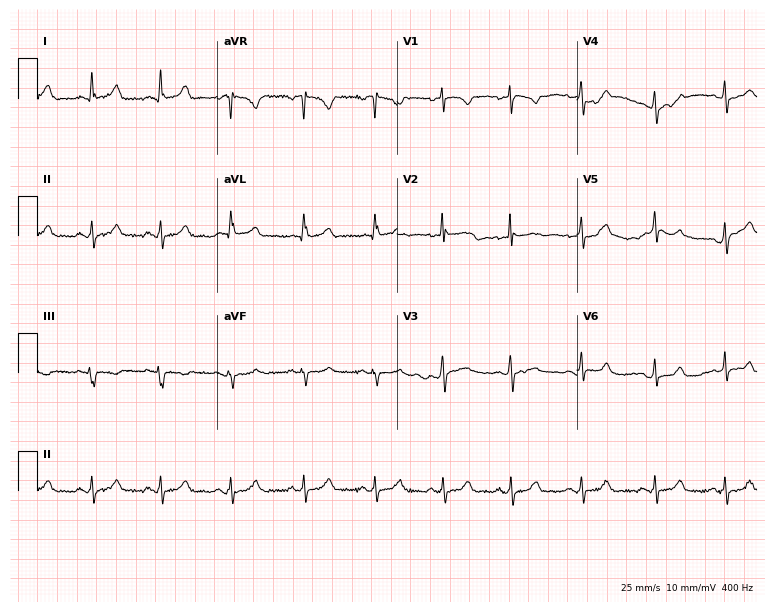
Standard 12-lead ECG recorded from an 18-year-old female patient (7.3-second recording at 400 Hz). Read as a normal ECG.